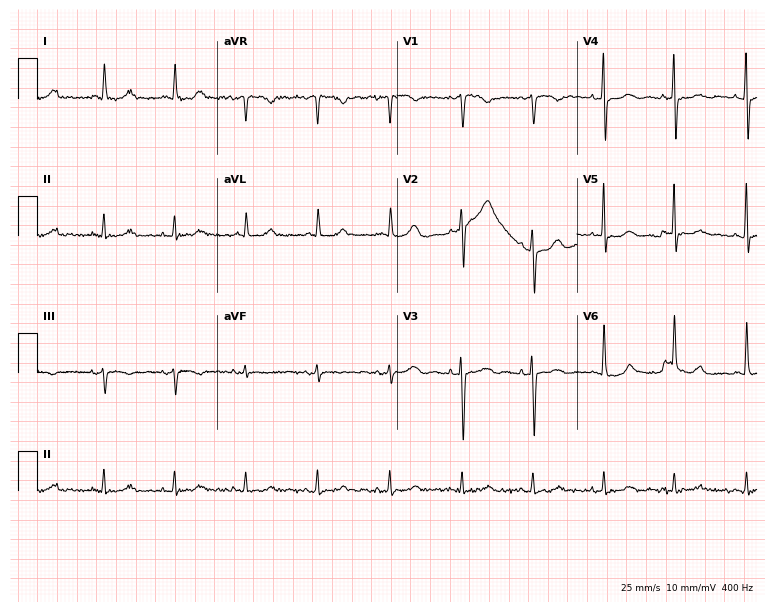
Electrocardiogram, a woman, 82 years old. Overall reading on record: normal ECG.